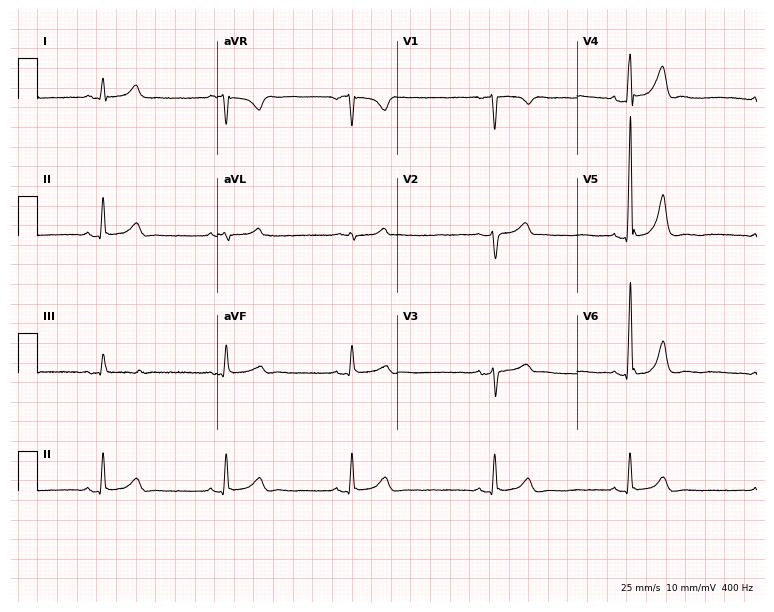
12-lead ECG from a 48-year-old man (7.3-second recording at 400 Hz). Shows sinus bradycardia (a sinus rate of 50 beats per minute or less).